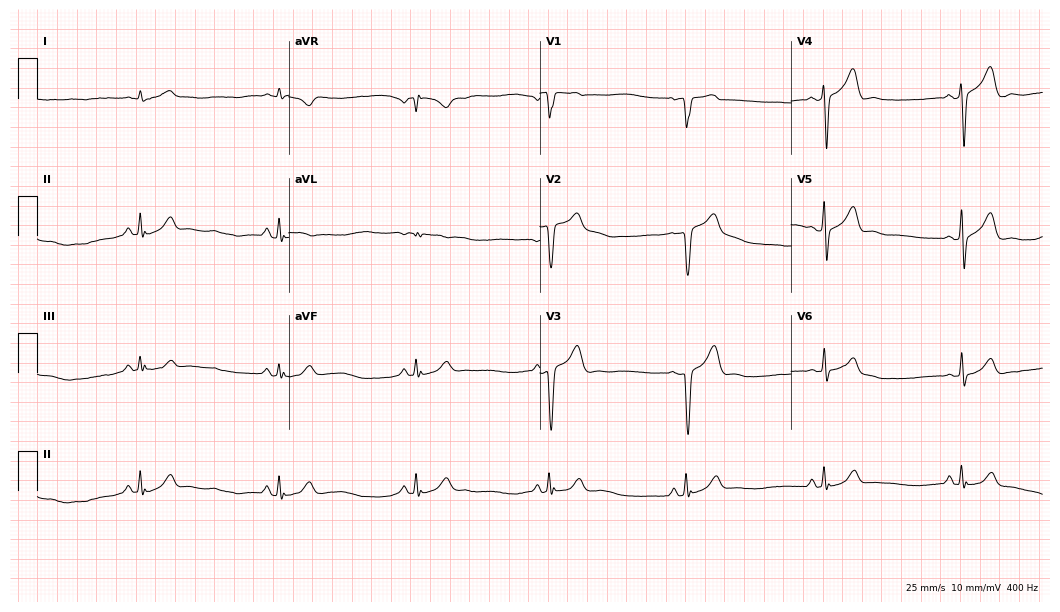
Standard 12-lead ECG recorded from a 78-year-old man (10.2-second recording at 400 Hz). The tracing shows sinus bradycardia (a sinus rate of 50 beats per minute or less).